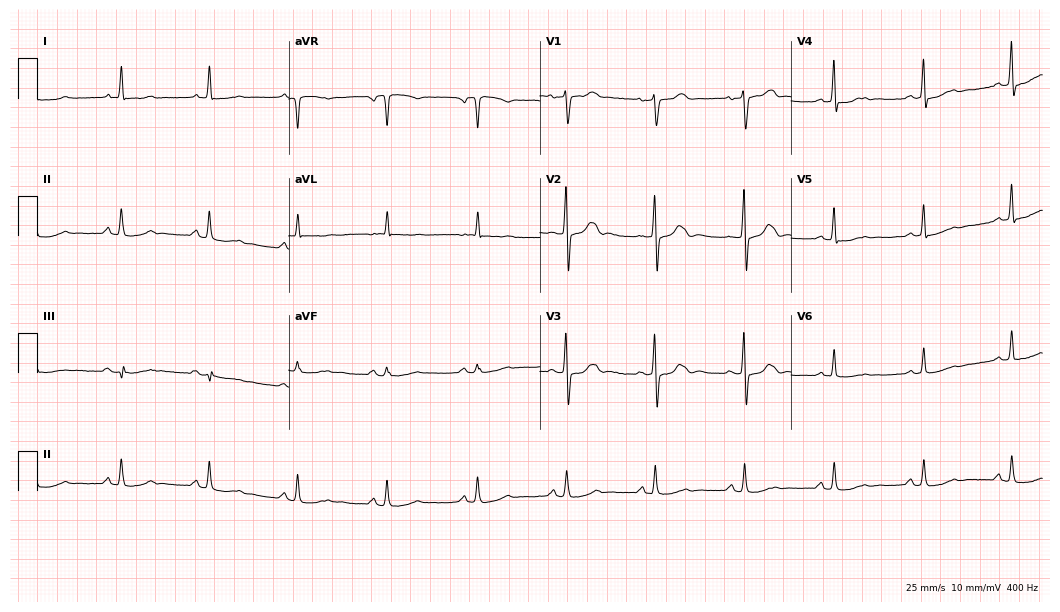
Standard 12-lead ECG recorded from a 72-year-old female patient (10.2-second recording at 400 Hz). None of these six findings is recorded: first-degree AV block, right bundle branch block (RBBB), left bundle branch block (LBBB), sinus bradycardia, atrial fibrillation (AF), sinus tachycardia.